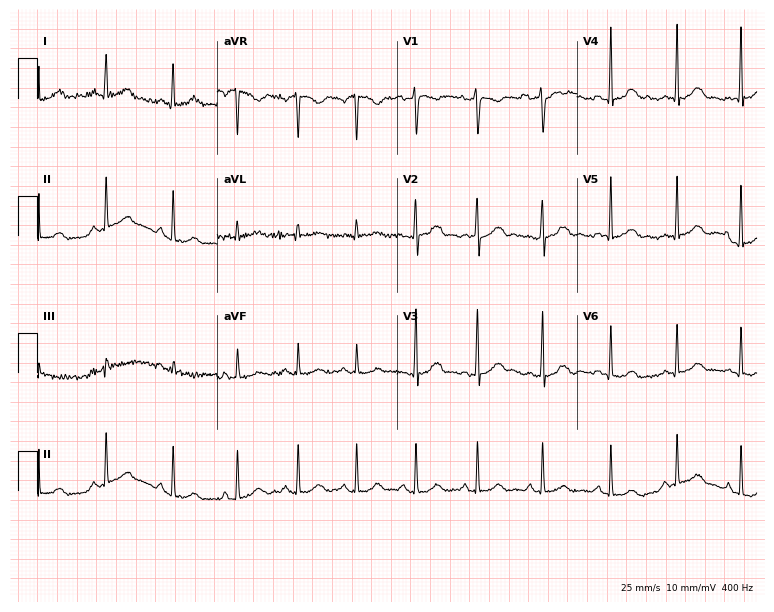
Resting 12-lead electrocardiogram. Patient: a 28-year-old female. None of these six findings is recorded: first-degree AV block, right bundle branch block, left bundle branch block, sinus bradycardia, atrial fibrillation, sinus tachycardia. Other findings, if any, are not listed.